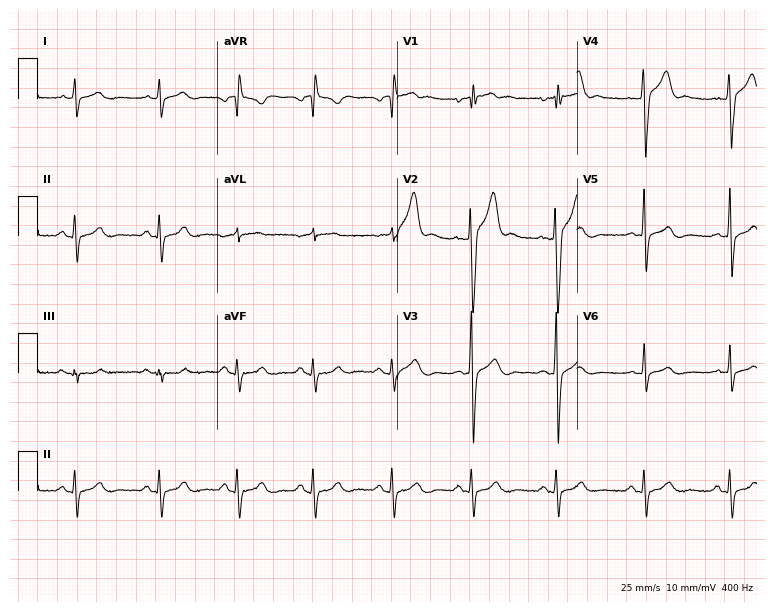
12-lead ECG from a male, 24 years old (7.3-second recording at 400 Hz). No first-degree AV block, right bundle branch block (RBBB), left bundle branch block (LBBB), sinus bradycardia, atrial fibrillation (AF) or sinus tachycardia recorded for this tracing.